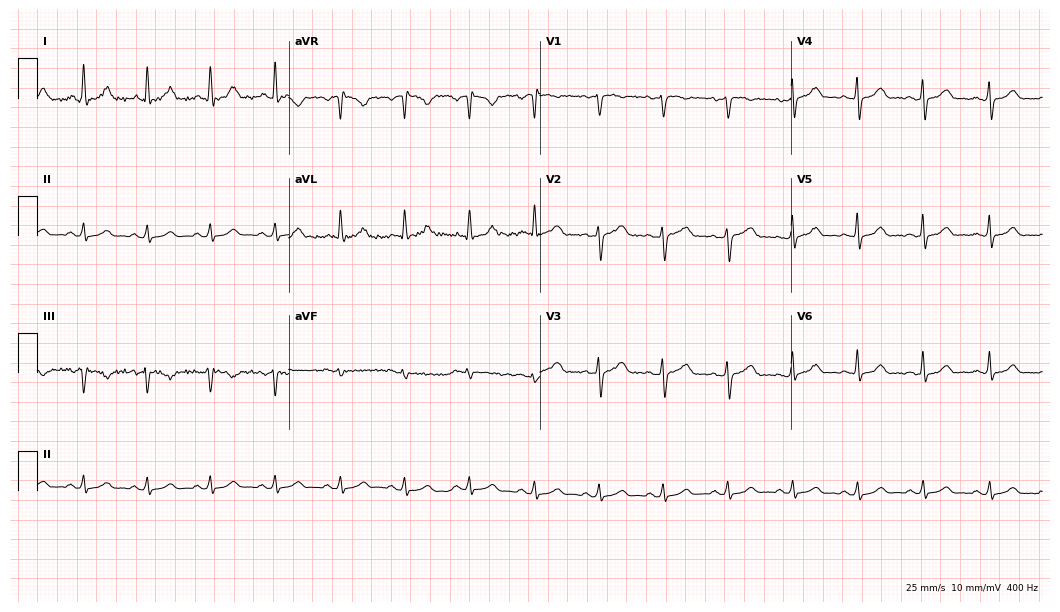
ECG — a 41-year-old female patient. Screened for six findings — first-degree AV block, right bundle branch block (RBBB), left bundle branch block (LBBB), sinus bradycardia, atrial fibrillation (AF), sinus tachycardia — none is recorded. Only these six findings were labelled.